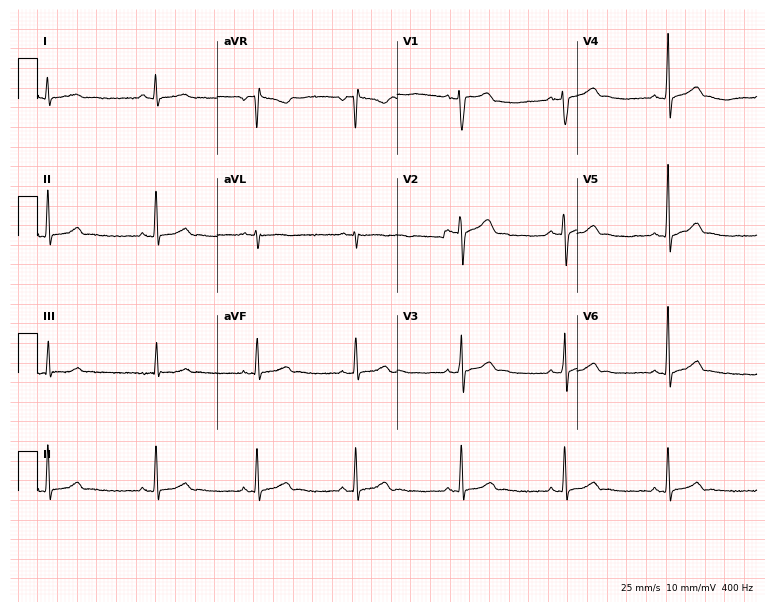
ECG (7.3-second recording at 400 Hz) — a male patient, 31 years old. Labelled as a normal ECG.